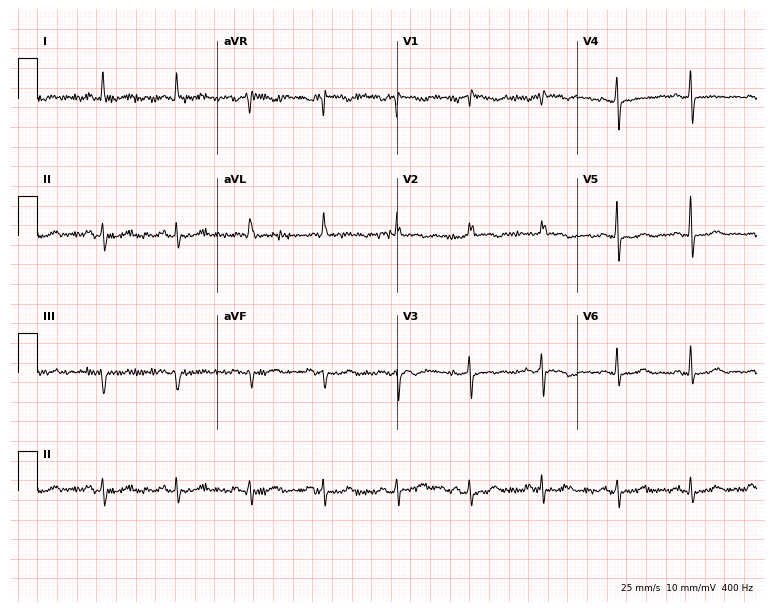
Standard 12-lead ECG recorded from a 68-year-old female patient (7.3-second recording at 400 Hz). None of these six findings is recorded: first-degree AV block, right bundle branch block, left bundle branch block, sinus bradycardia, atrial fibrillation, sinus tachycardia. Findings outside these six are not listed.